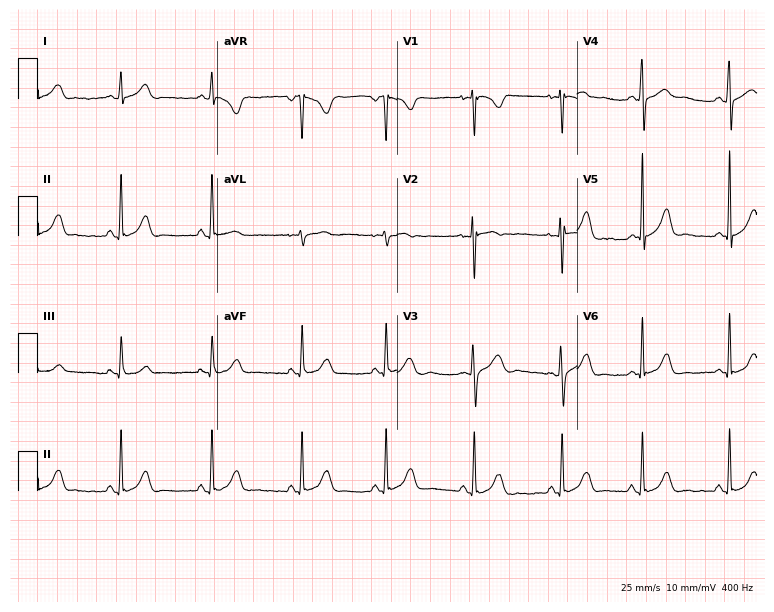
Resting 12-lead electrocardiogram (7.3-second recording at 400 Hz). Patient: a female, 26 years old. Read as a normal ECG.